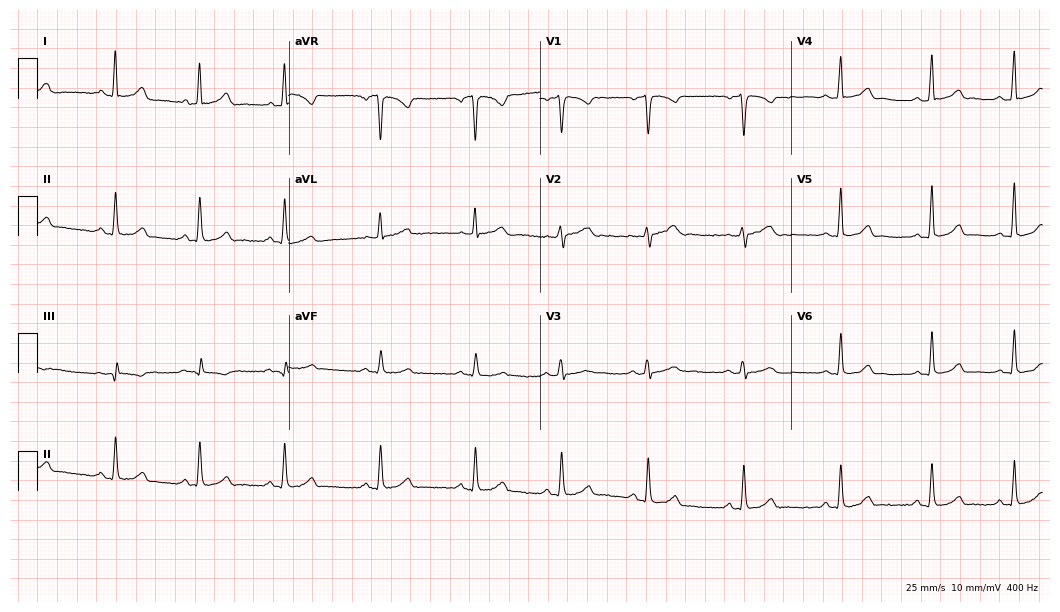
12-lead ECG (10.2-second recording at 400 Hz) from a woman, 27 years old. Labelled as a normal ECG.